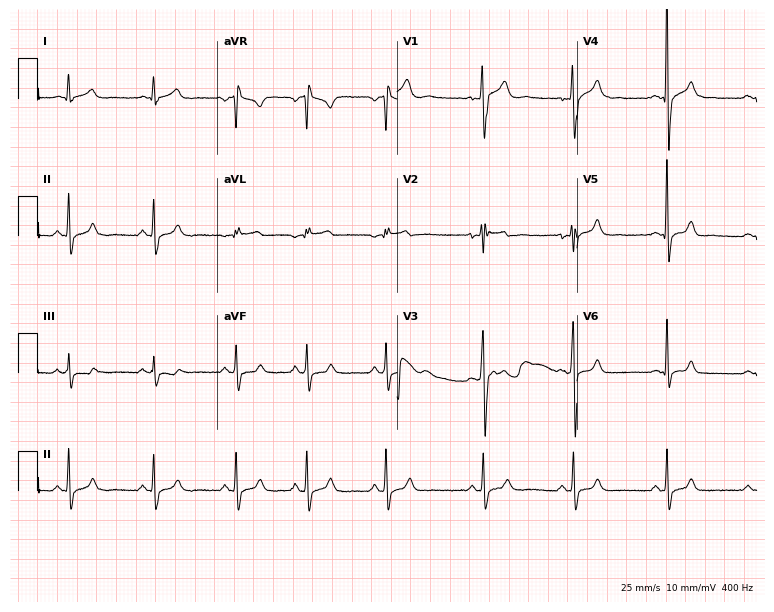
12-lead ECG from a 36-year-old male patient. Labelled as a normal ECG.